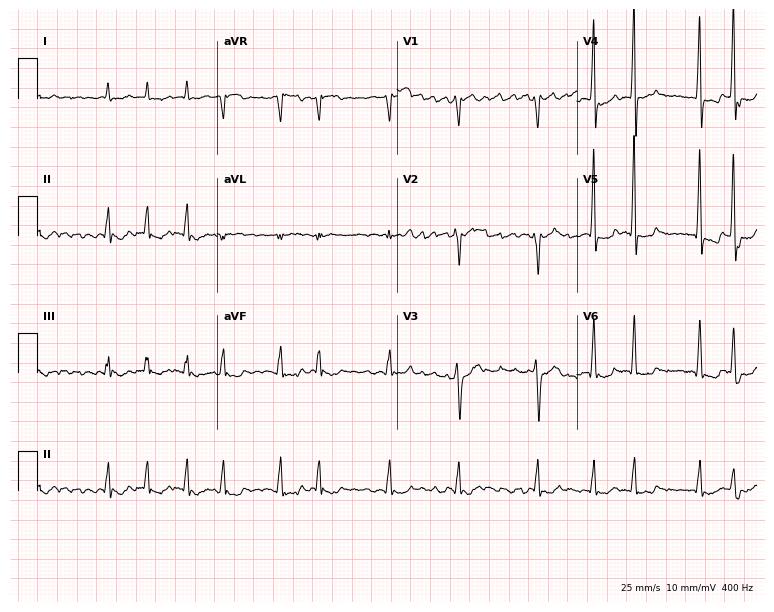
Electrocardiogram, a 50-year-old man. Interpretation includes atrial fibrillation.